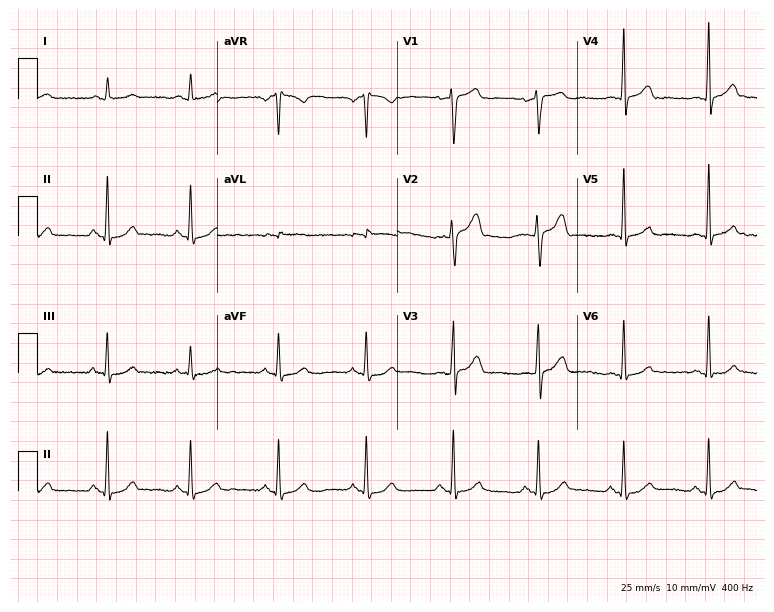
Electrocardiogram, a 49-year-old female patient. Of the six screened findings (first-degree AV block, right bundle branch block, left bundle branch block, sinus bradycardia, atrial fibrillation, sinus tachycardia), none is recorded. Findings outside these six are not listed.